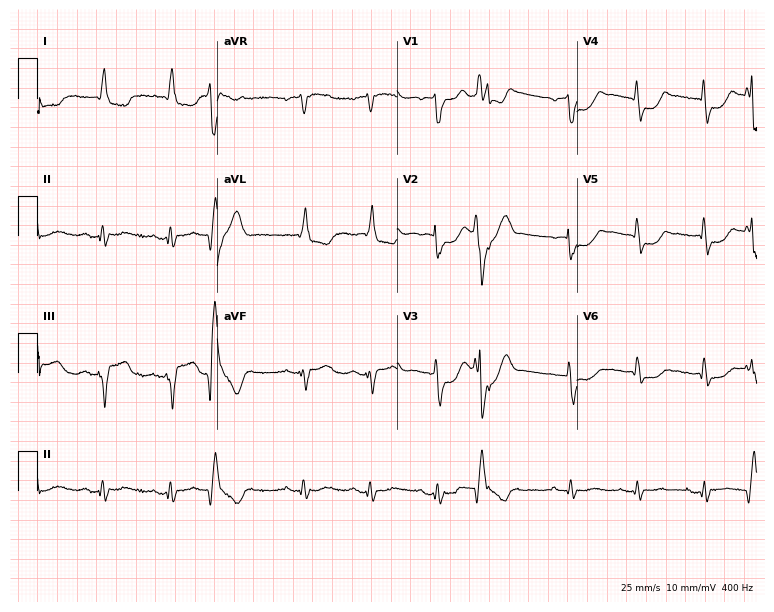
ECG — an 83-year-old male. Screened for six findings — first-degree AV block, right bundle branch block (RBBB), left bundle branch block (LBBB), sinus bradycardia, atrial fibrillation (AF), sinus tachycardia — none is recorded. Other findings, if any, are not listed.